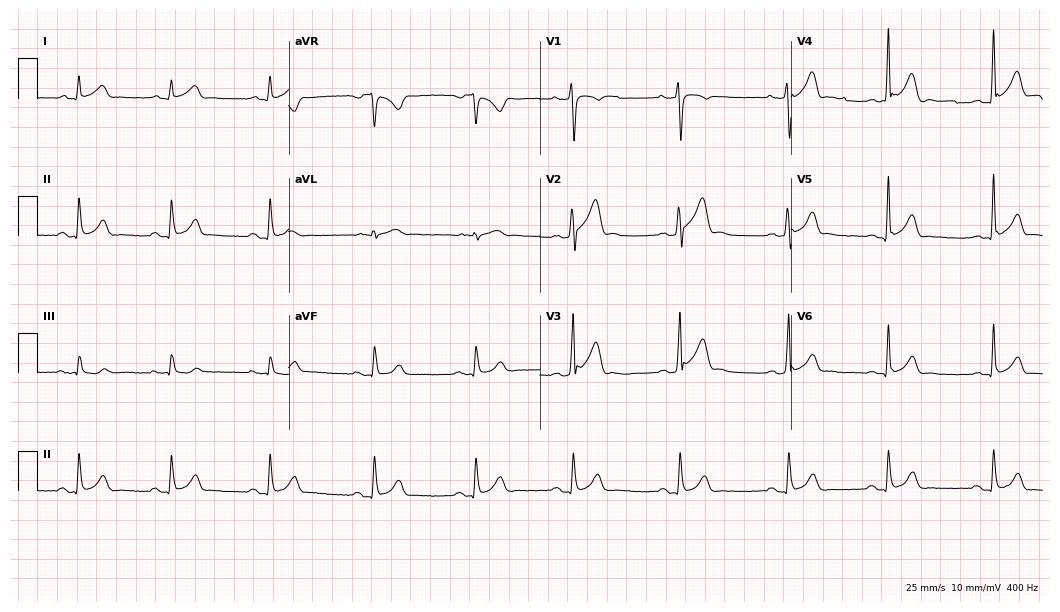
ECG (10.2-second recording at 400 Hz) — a 27-year-old male. Labelled as a normal ECG.